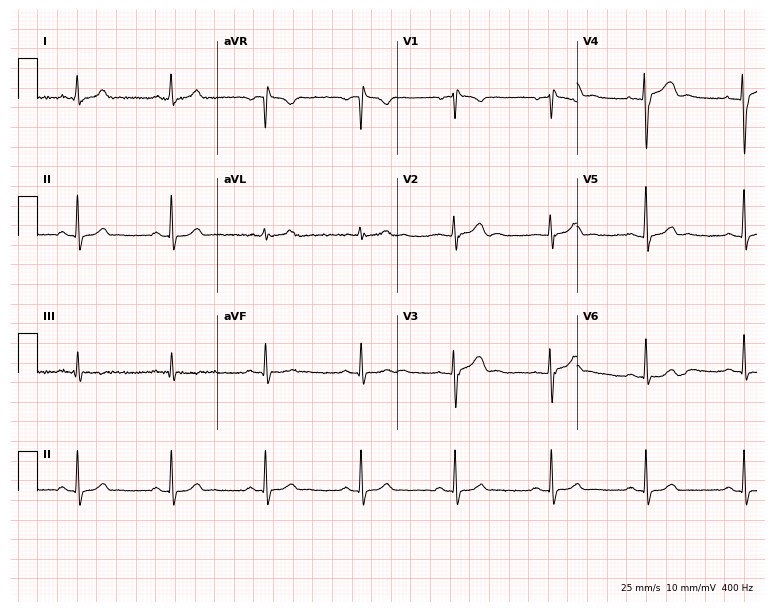
12-lead ECG from a 25-year-old male patient. Screened for six findings — first-degree AV block, right bundle branch block, left bundle branch block, sinus bradycardia, atrial fibrillation, sinus tachycardia — none is recorded. Only these six findings were labelled.